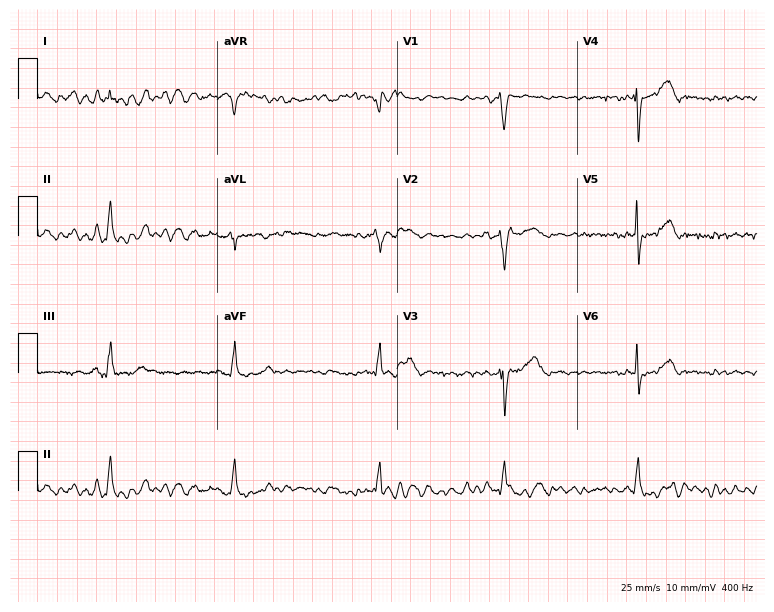
Electrocardiogram, a man, 57 years old. Interpretation includes sinus bradycardia (a sinus rate of 50 beats per minute or less).